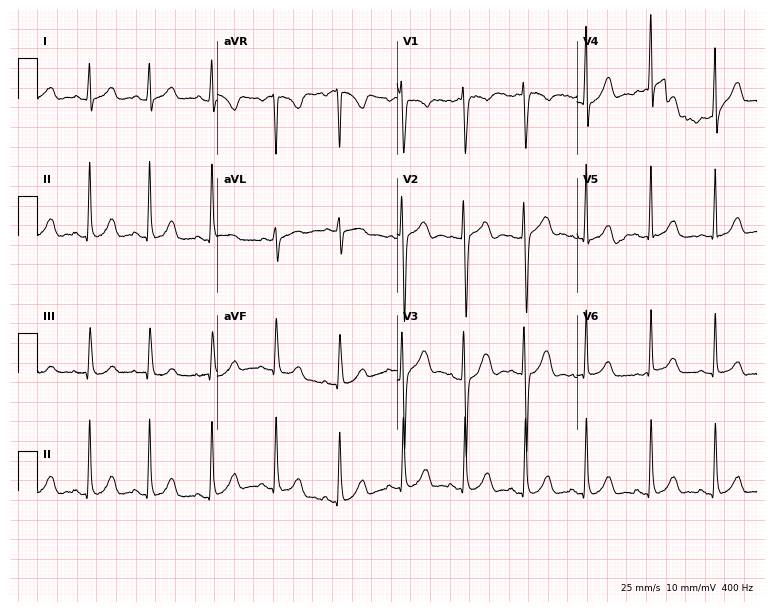
Resting 12-lead electrocardiogram (7.3-second recording at 400 Hz). Patient: a 34-year-old female. None of these six findings is recorded: first-degree AV block, right bundle branch block, left bundle branch block, sinus bradycardia, atrial fibrillation, sinus tachycardia.